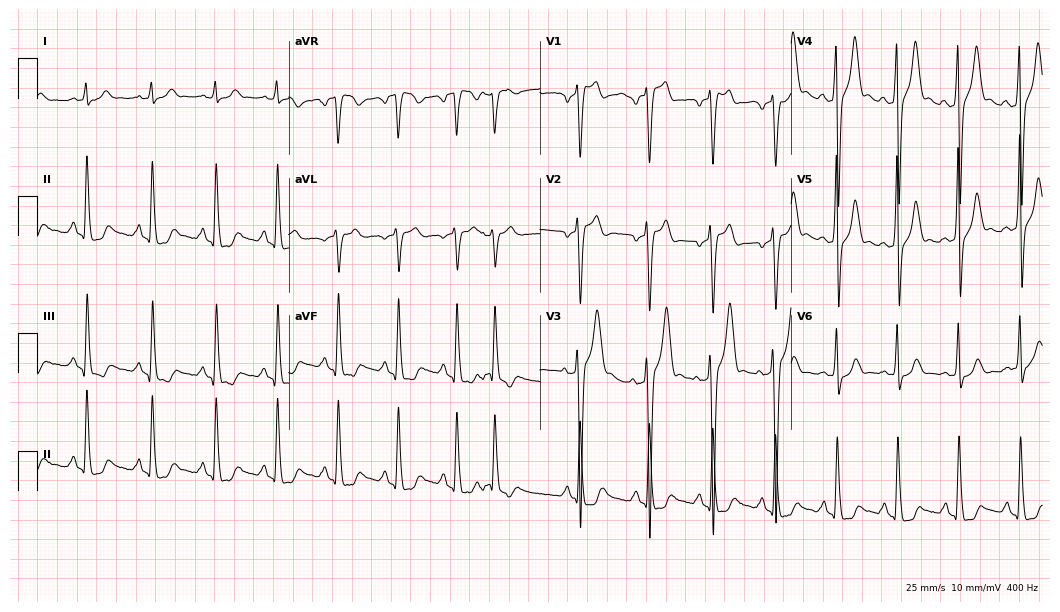
12-lead ECG from a man, 57 years old. No first-degree AV block, right bundle branch block, left bundle branch block, sinus bradycardia, atrial fibrillation or sinus tachycardia recorded for this tracing. Only these six findings were labelled.